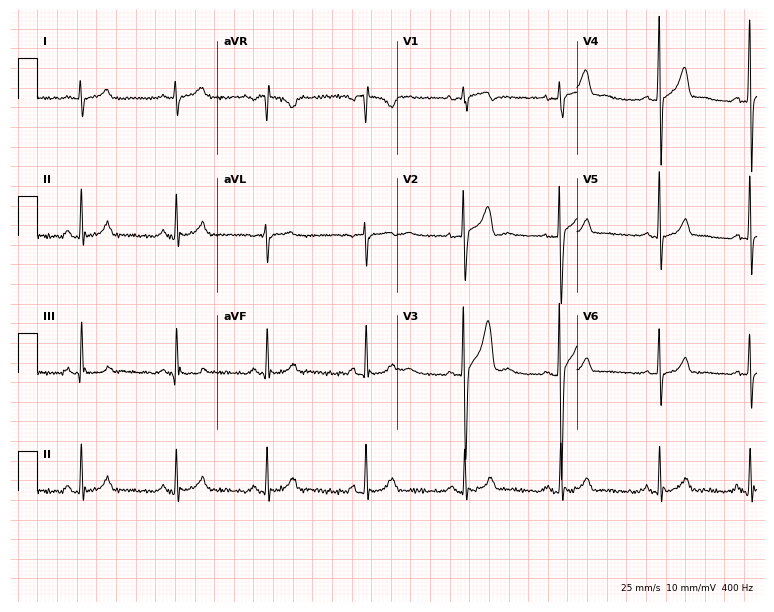
12-lead ECG from a 21-year-old man. Screened for six findings — first-degree AV block, right bundle branch block, left bundle branch block, sinus bradycardia, atrial fibrillation, sinus tachycardia — none is recorded.